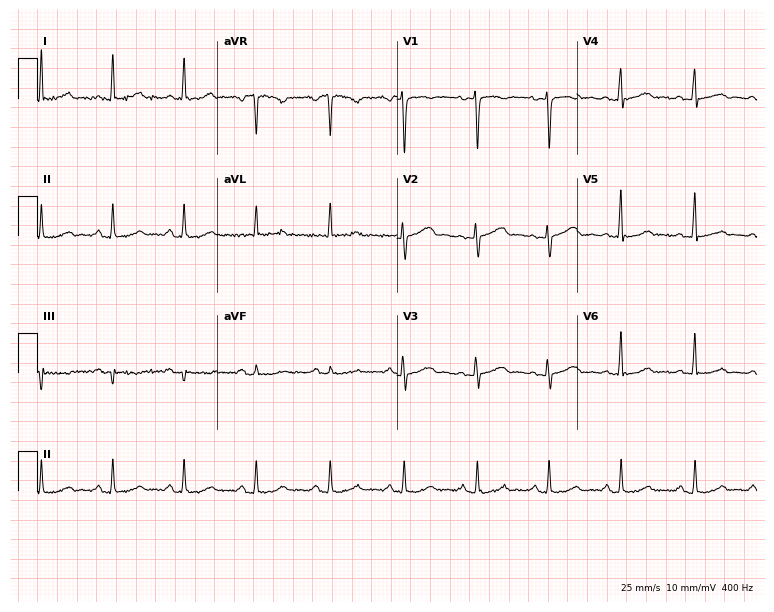
Standard 12-lead ECG recorded from a female patient, 44 years old. None of these six findings is recorded: first-degree AV block, right bundle branch block, left bundle branch block, sinus bradycardia, atrial fibrillation, sinus tachycardia. Other findings, if any, are not listed.